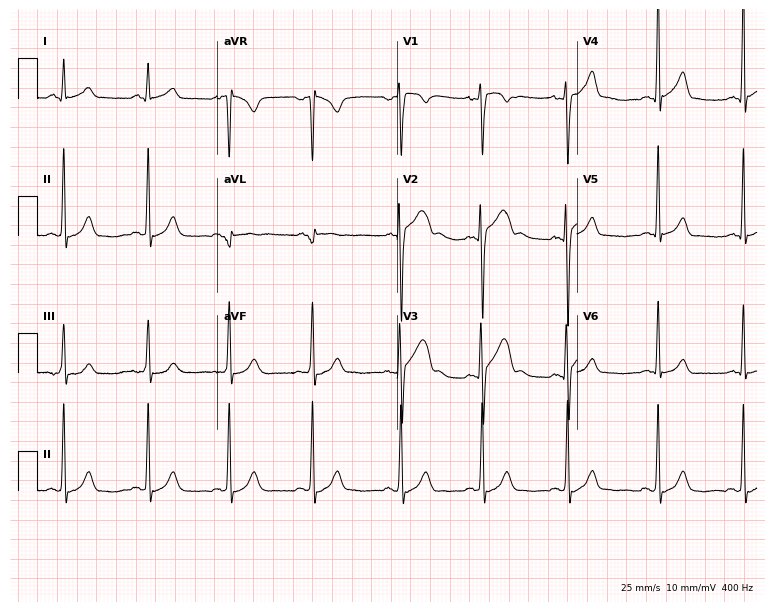
Electrocardiogram (7.3-second recording at 400 Hz), a 19-year-old male patient. Overall reading on record: normal ECG.